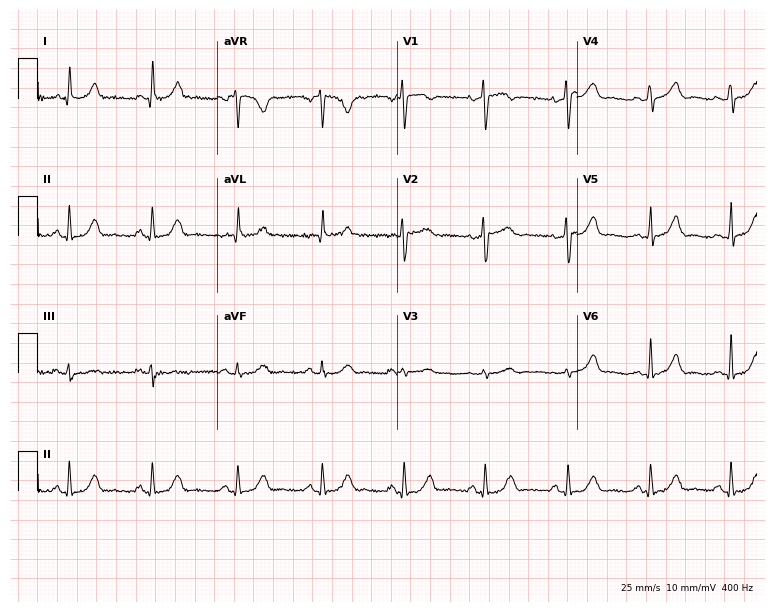
Electrocardiogram, a woman, 44 years old. Overall reading on record: normal ECG.